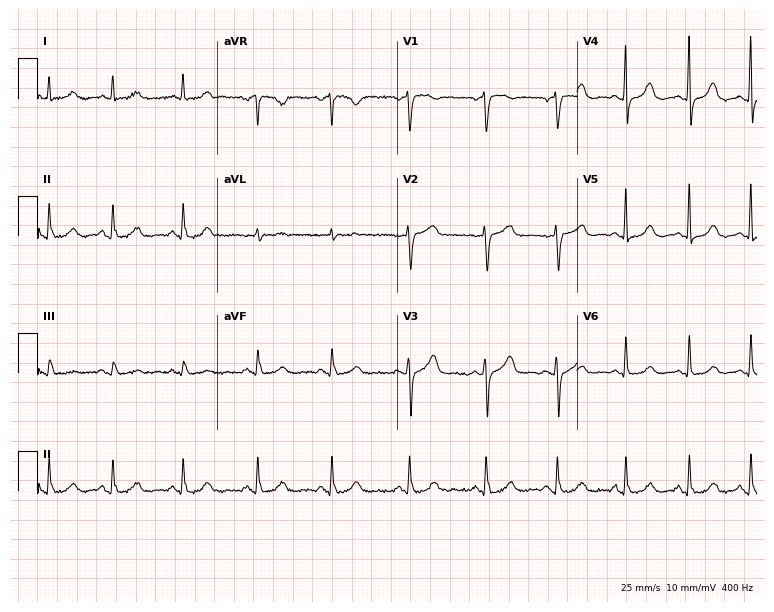
Electrocardiogram (7.3-second recording at 400 Hz), a 49-year-old female patient. Overall reading on record: normal ECG.